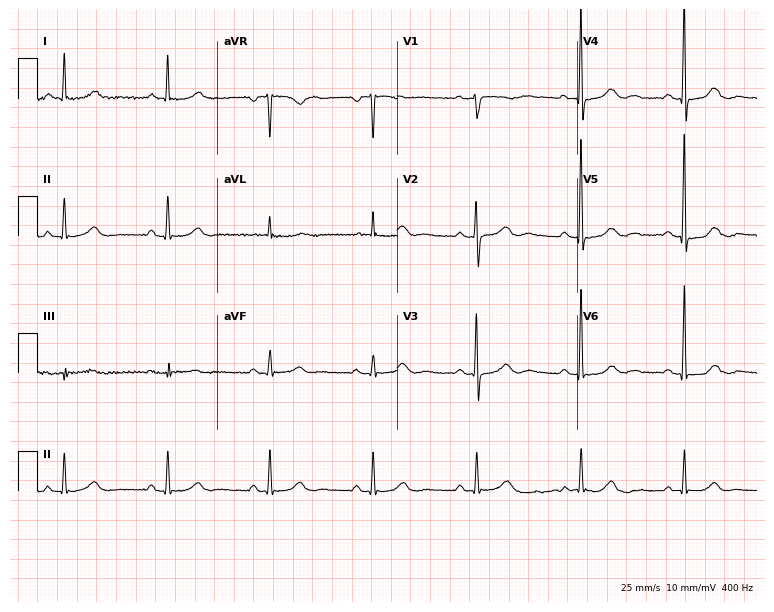
12-lead ECG (7.3-second recording at 400 Hz) from a male, 69 years old. Labelled as a normal ECG.